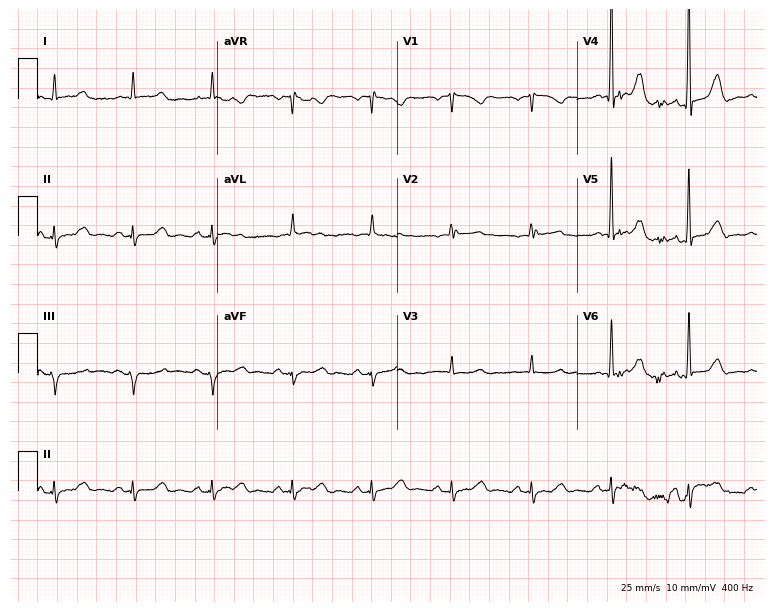
Resting 12-lead electrocardiogram (7.3-second recording at 400 Hz). Patient: a male, 66 years old. None of these six findings is recorded: first-degree AV block, right bundle branch block, left bundle branch block, sinus bradycardia, atrial fibrillation, sinus tachycardia. Only these six findings were labelled.